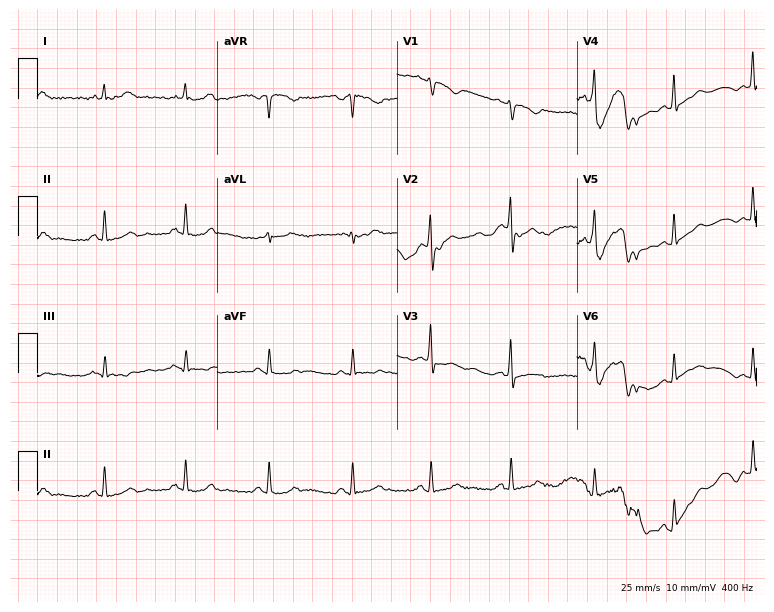
ECG — a 29-year-old woman. Screened for six findings — first-degree AV block, right bundle branch block, left bundle branch block, sinus bradycardia, atrial fibrillation, sinus tachycardia — none is recorded.